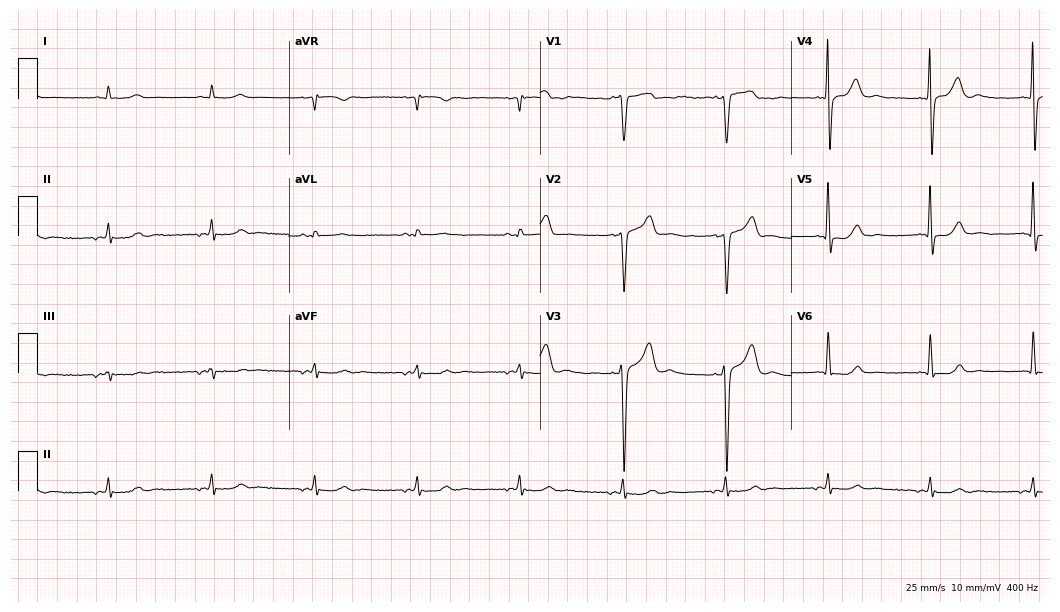
12-lead ECG (10.2-second recording at 400 Hz) from a male patient, 68 years old. Screened for six findings — first-degree AV block, right bundle branch block, left bundle branch block, sinus bradycardia, atrial fibrillation, sinus tachycardia — none is recorded. Findings outside these six are not listed.